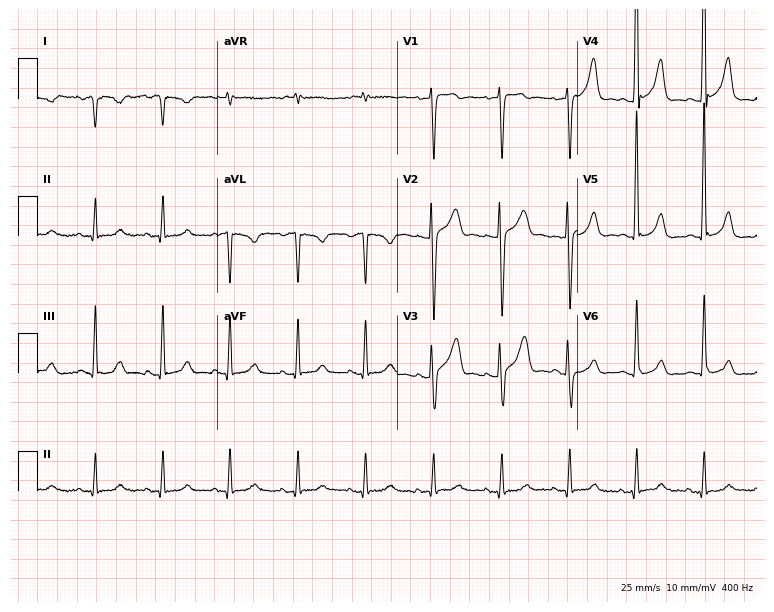
Electrocardiogram (7.3-second recording at 400 Hz), a male patient, 58 years old. Of the six screened findings (first-degree AV block, right bundle branch block, left bundle branch block, sinus bradycardia, atrial fibrillation, sinus tachycardia), none is recorded. Findings outside these six are not listed.